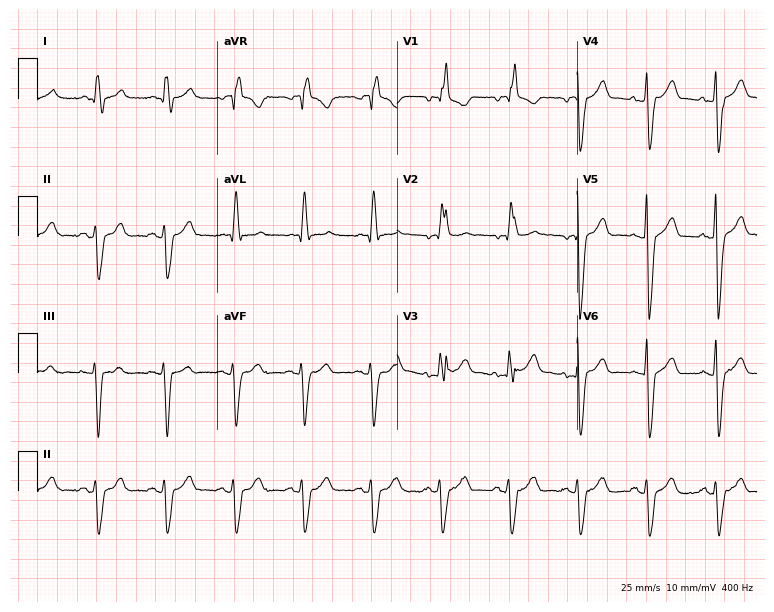
12-lead ECG (7.3-second recording at 400 Hz) from a male patient, 85 years old. Findings include right bundle branch block (RBBB).